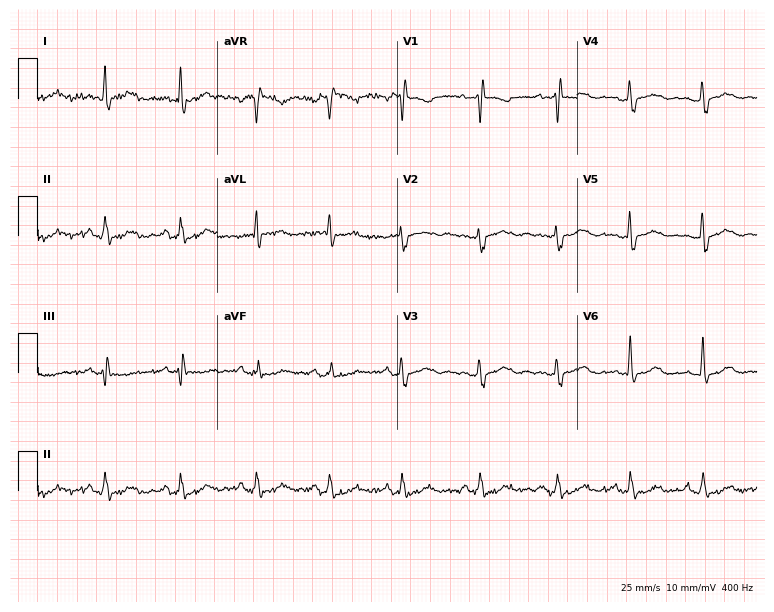
12-lead ECG (7.3-second recording at 400 Hz) from a female, 78 years old. Screened for six findings — first-degree AV block, right bundle branch block, left bundle branch block, sinus bradycardia, atrial fibrillation, sinus tachycardia — none is recorded. Other findings, if any, are not listed.